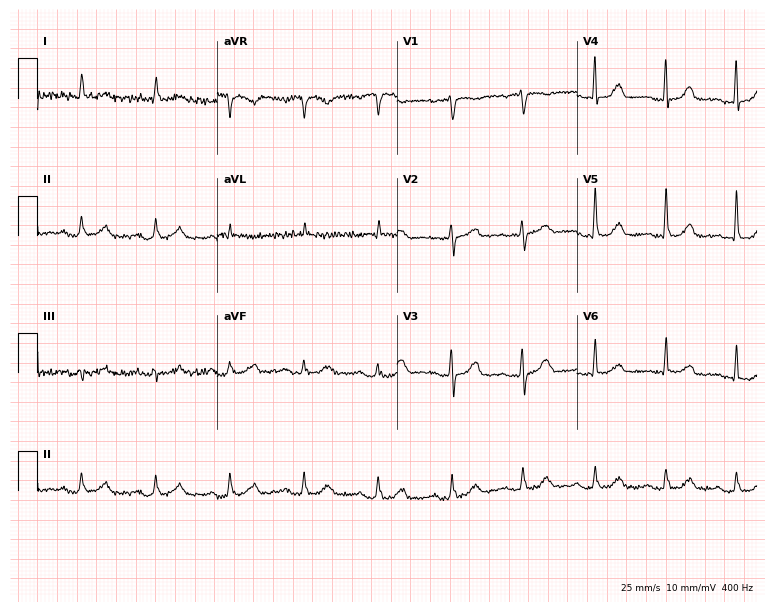
Standard 12-lead ECG recorded from an 80-year-old man. None of these six findings is recorded: first-degree AV block, right bundle branch block, left bundle branch block, sinus bradycardia, atrial fibrillation, sinus tachycardia.